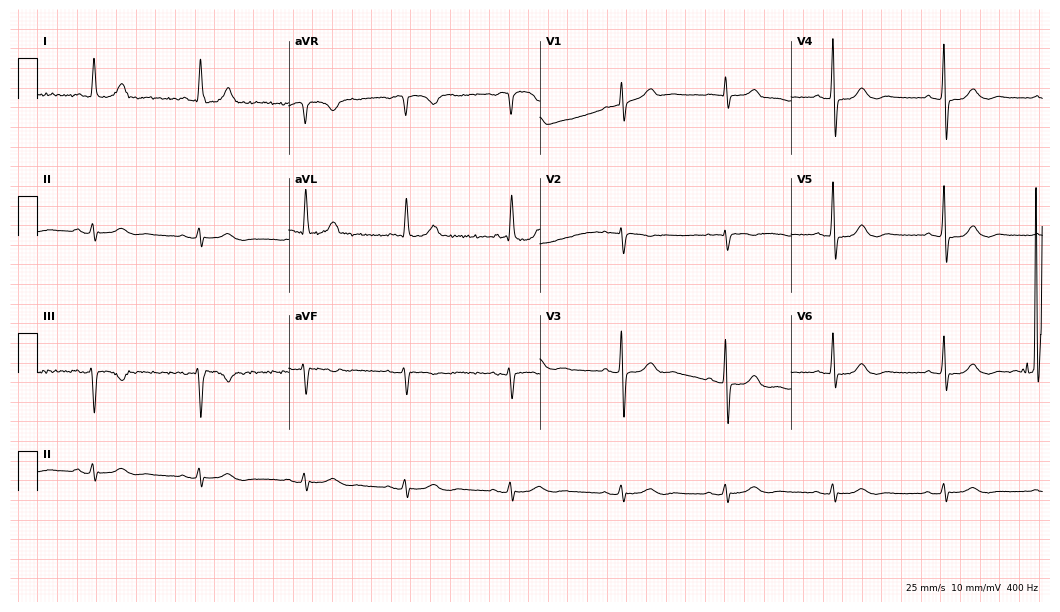
12-lead ECG (10.2-second recording at 400 Hz) from a 74-year-old female. Labelled as a normal ECG.